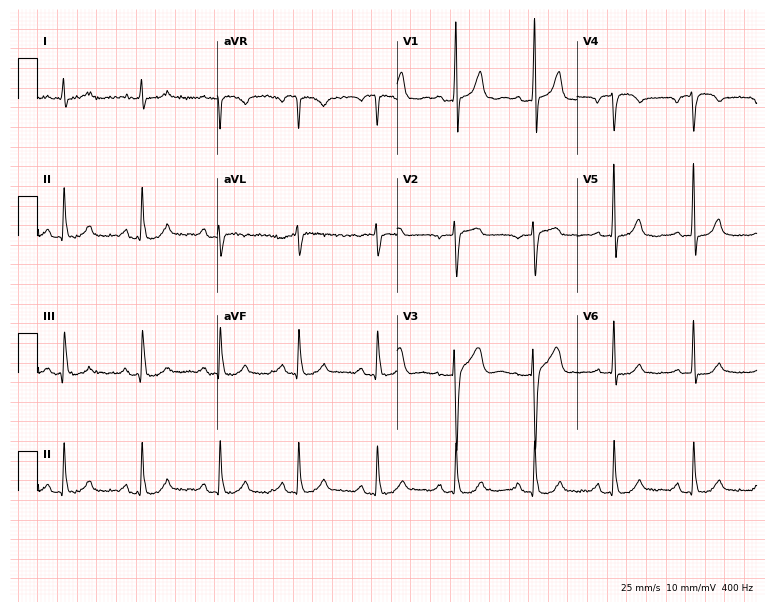
Standard 12-lead ECG recorded from an 80-year-old man (7.3-second recording at 400 Hz). Read as a normal ECG.